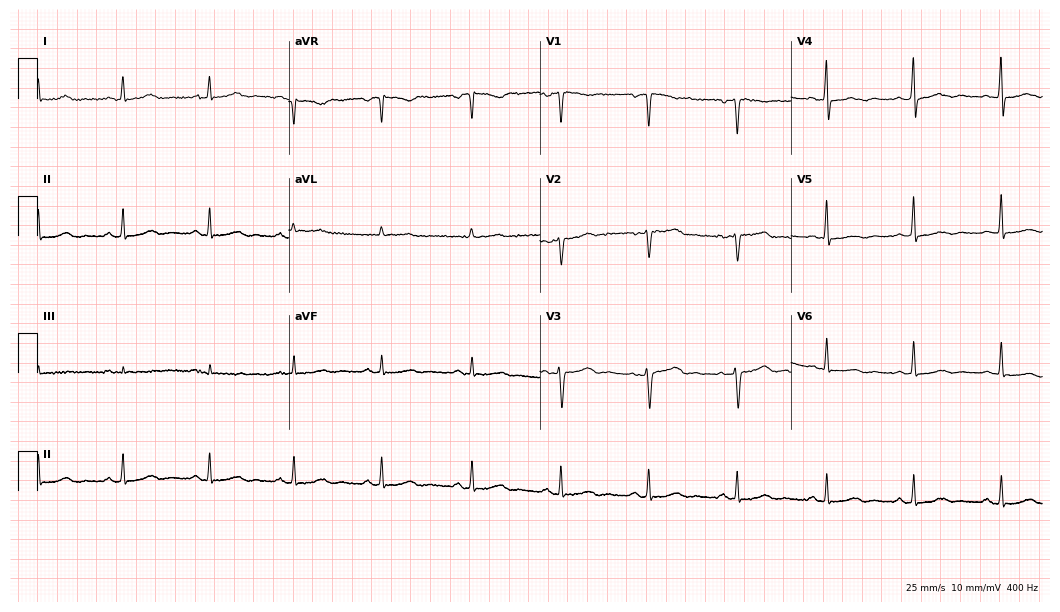
Resting 12-lead electrocardiogram. Patient: a female, 51 years old. None of these six findings is recorded: first-degree AV block, right bundle branch block, left bundle branch block, sinus bradycardia, atrial fibrillation, sinus tachycardia.